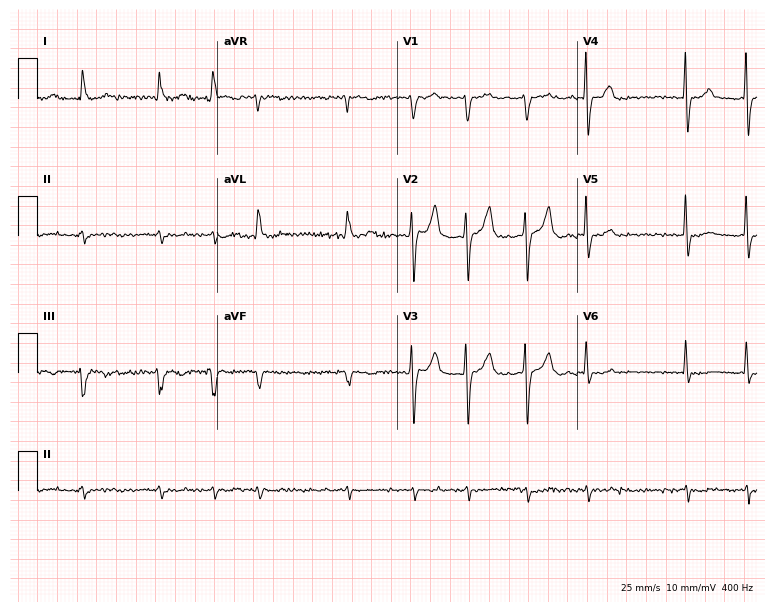
ECG (7.3-second recording at 400 Hz) — a male, 68 years old. Findings include atrial fibrillation (AF).